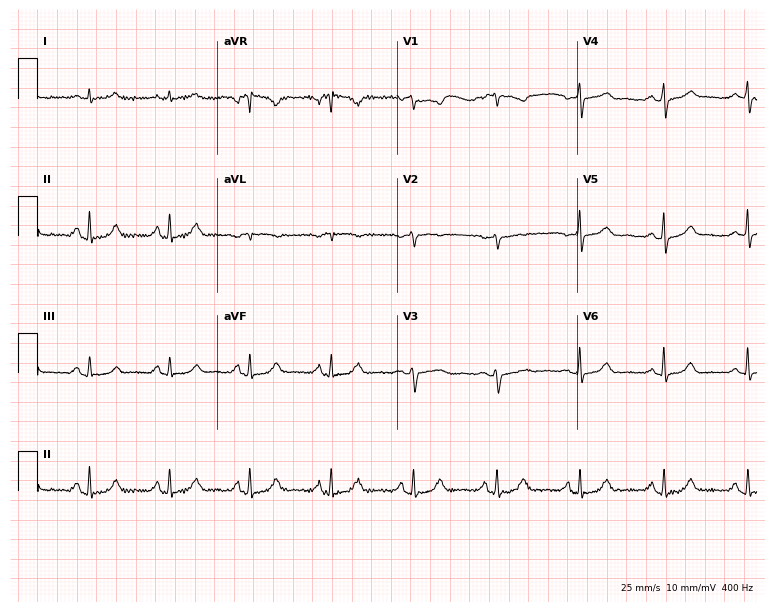
Resting 12-lead electrocardiogram. Patient: a woman, 61 years old. None of these six findings is recorded: first-degree AV block, right bundle branch block, left bundle branch block, sinus bradycardia, atrial fibrillation, sinus tachycardia.